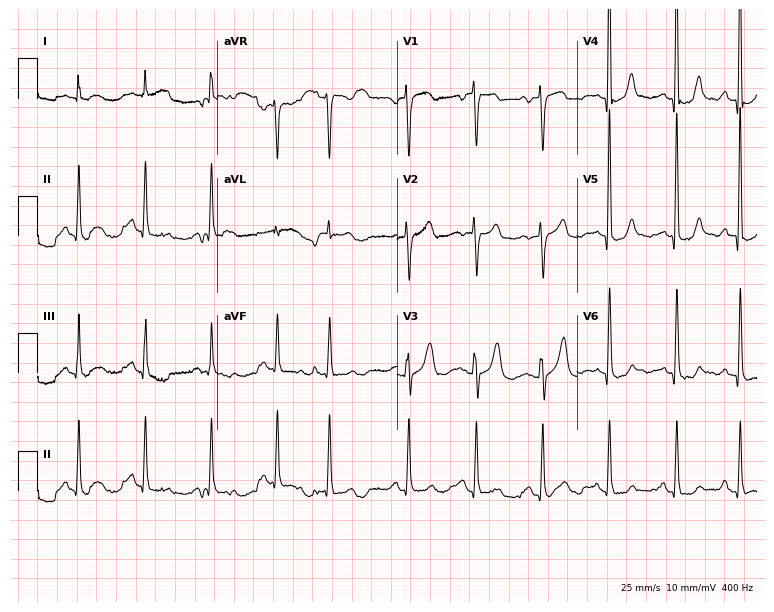
12-lead ECG from a female patient, 78 years old. No first-degree AV block, right bundle branch block (RBBB), left bundle branch block (LBBB), sinus bradycardia, atrial fibrillation (AF) or sinus tachycardia recorded for this tracing.